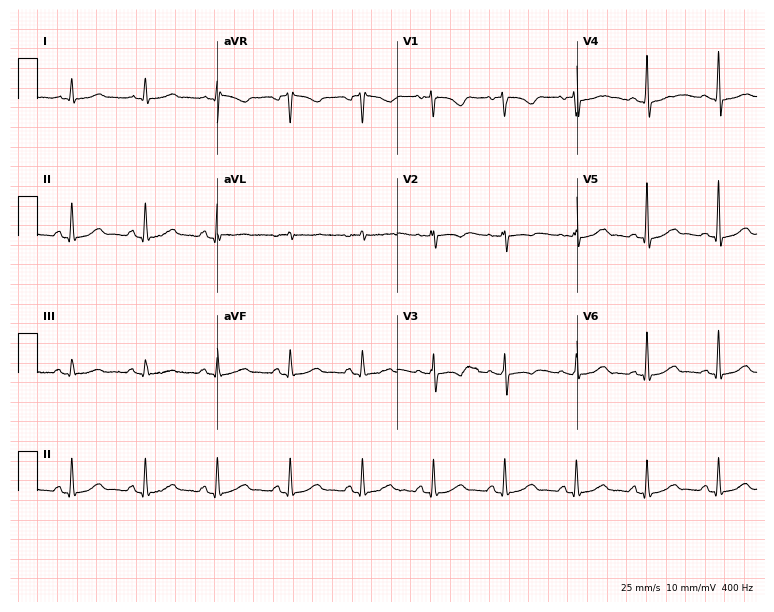
Standard 12-lead ECG recorded from a female patient, 51 years old. Read as a normal ECG.